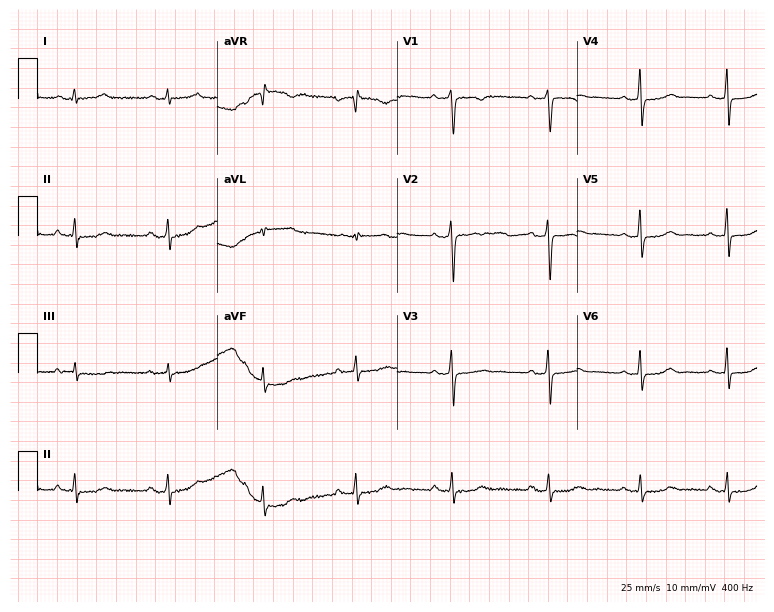
12-lead ECG from a 39-year-old female patient. Recorded interpretation: within normal limits.